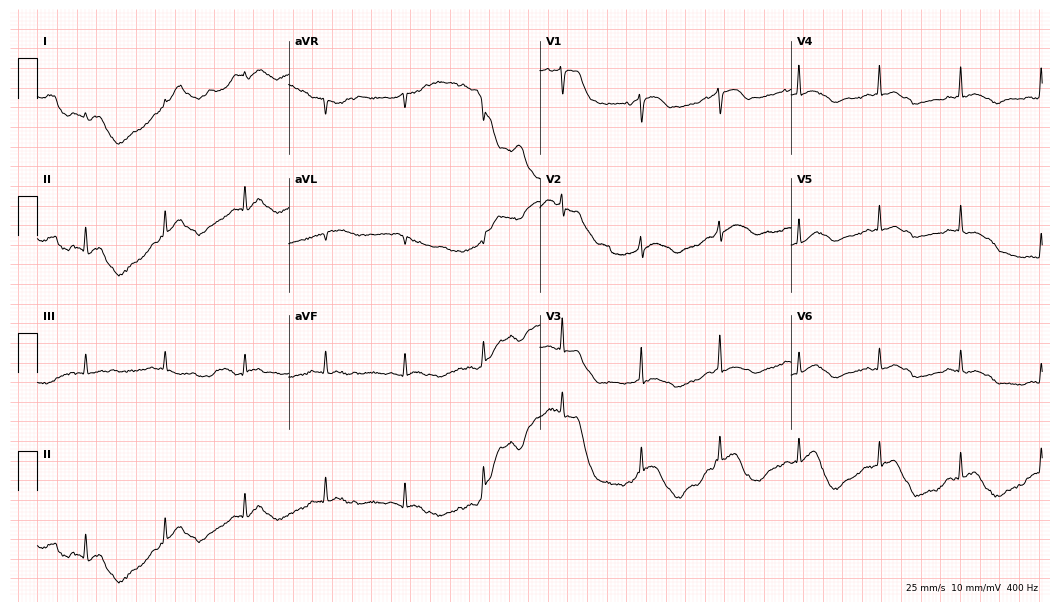
12-lead ECG from a 75-year-old female patient. No first-degree AV block, right bundle branch block, left bundle branch block, sinus bradycardia, atrial fibrillation or sinus tachycardia recorded for this tracing.